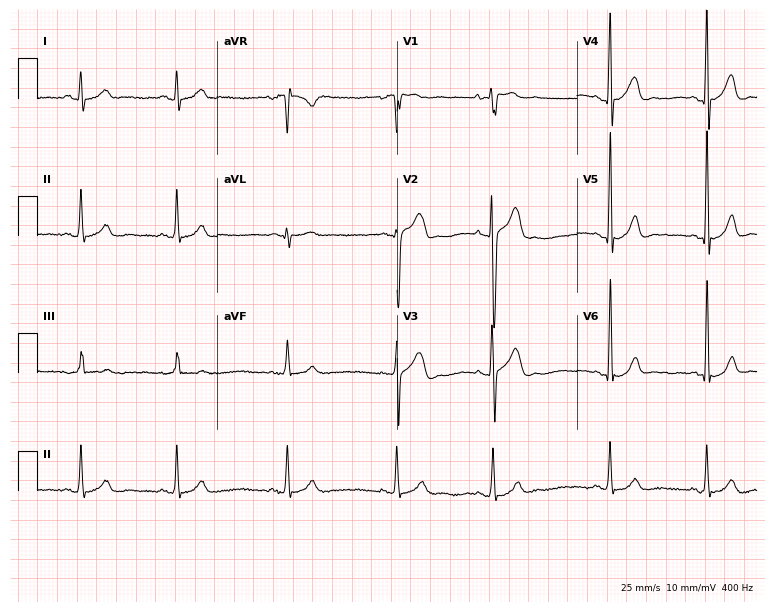
12-lead ECG from a 17-year-old male patient. Screened for six findings — first-degree AV block, right bundle branch block (RBBB), left bundle branch block (LBBB), sinus bradycardia, atrial fibrillation (AF), sinus tachycardia — none is recorded. Findings outside these six are not listed.